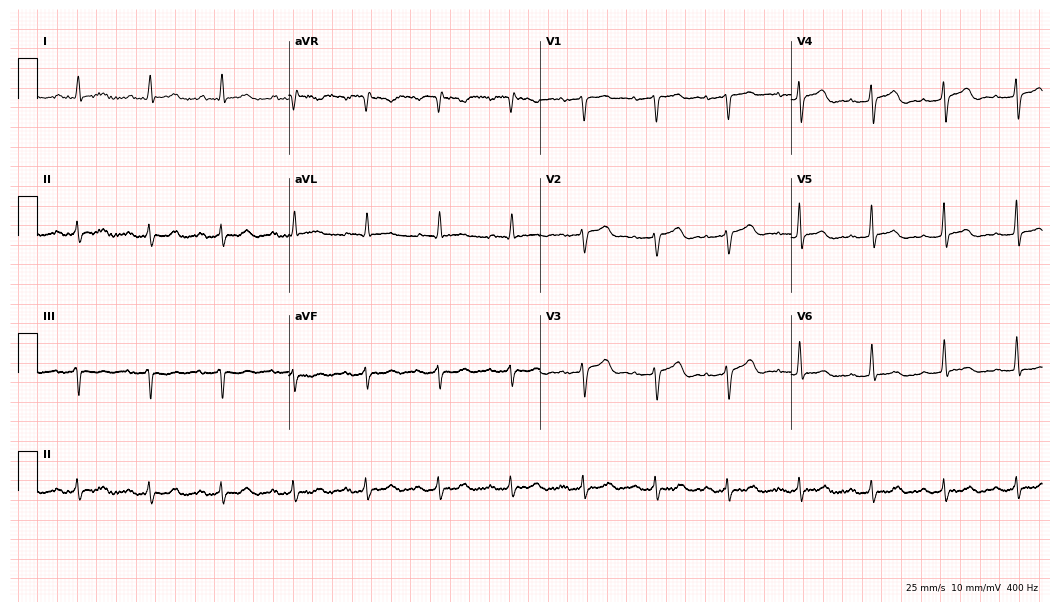
Electrocardiogram (10.2-second recording at 400 Hz), a woman, 48 years old. Overall reading on record: normal ECG.